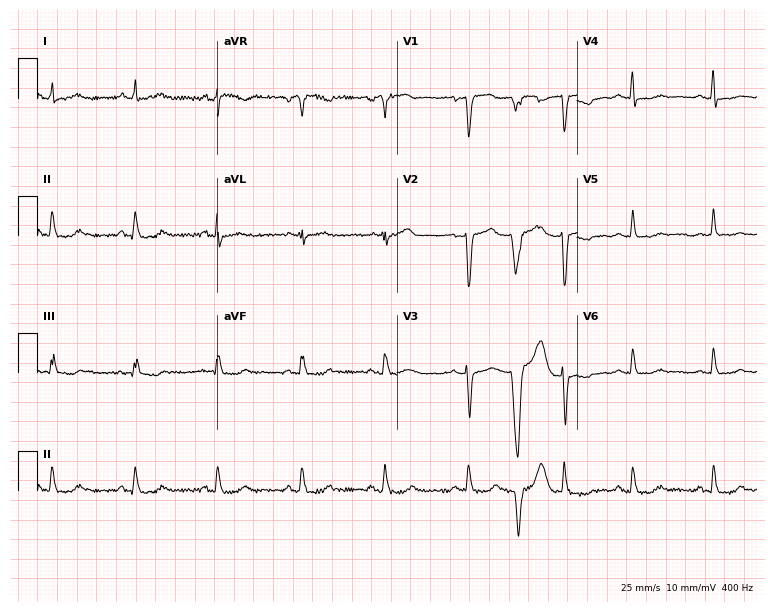
Resting 12-lead electrocardiogram (7.3-second recording at 400 Hz). Patient: a female, 53 years old. None of these six findings is recorded: first-degree AV block, right bundle branch block (RBBB), left bundle branch block (LBBB), sinus bradycardia, atrial fibrillation (AF), sinus tachycardia. Only these six findings were labelled.